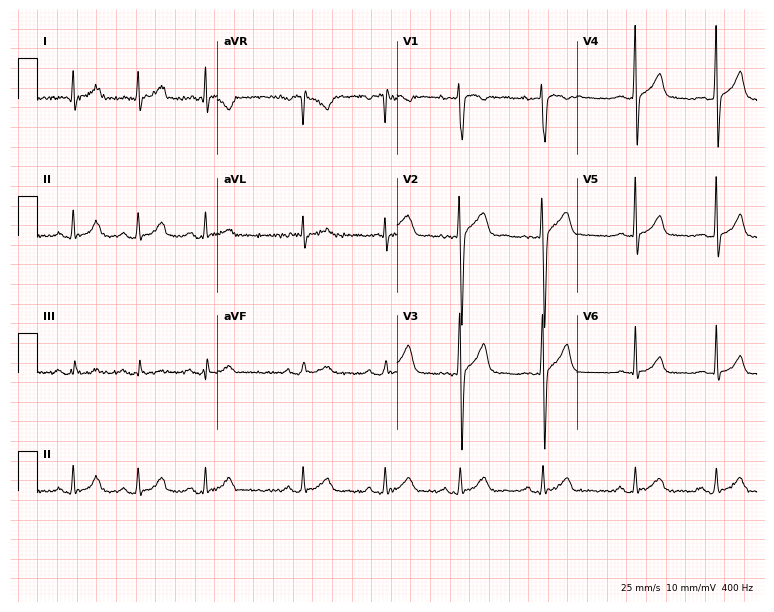
12-lead ECG from a 30-year-old male. Screened for six findings — first-degree AV block, right bundle branch block (RBBB), left bundle branch block (LBBB), sinus bradycardia, atrial fibrillation (AF), sinus tachycardia — none is recorded.